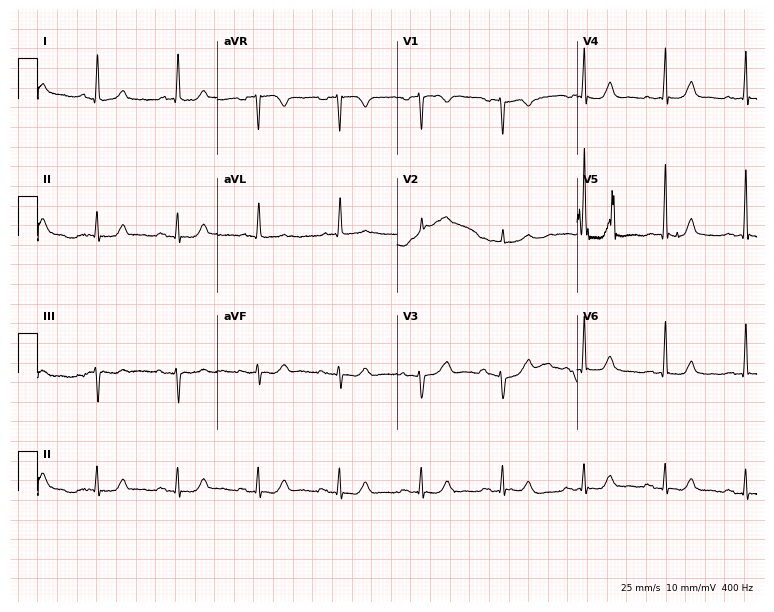
ECG (7.3-second recording at 400 Hz) — a female patient, 70 years old. Labelled as a normal ECG.